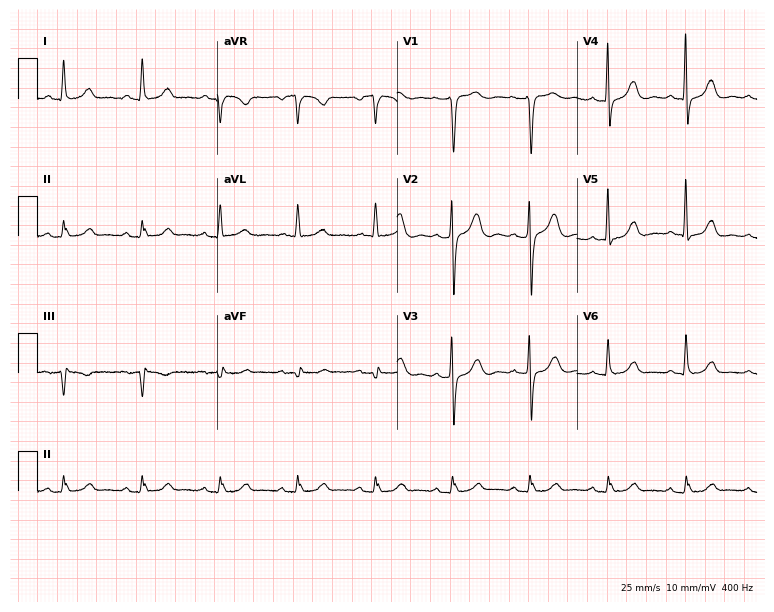
Standard 12-lead ECG recorded from a 71-year-old female (7.3-second recording at 400 Hz). Read as a normal ECG.